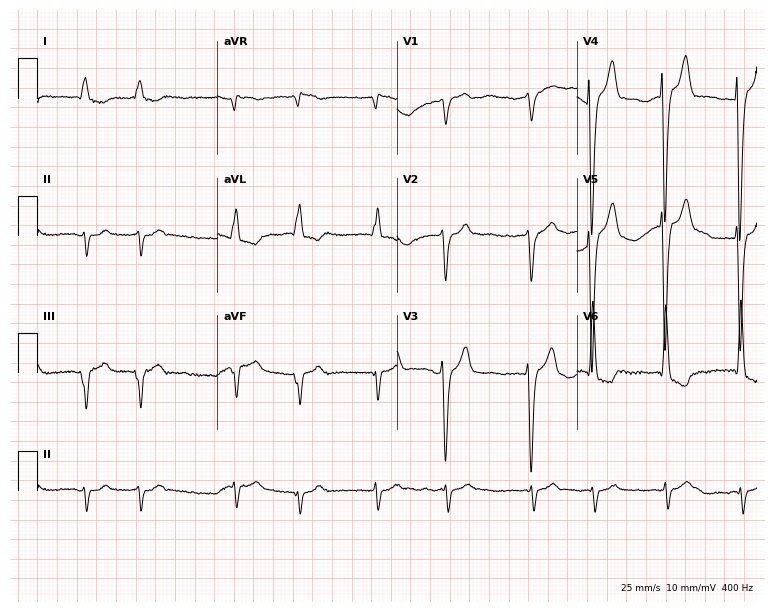
Resting 12-lead electrocardiogram (7.3-second recording at 400 Hz). Patient: a 76-year-old male. The tracing shows left bundle branch block, atrial fibrillation.